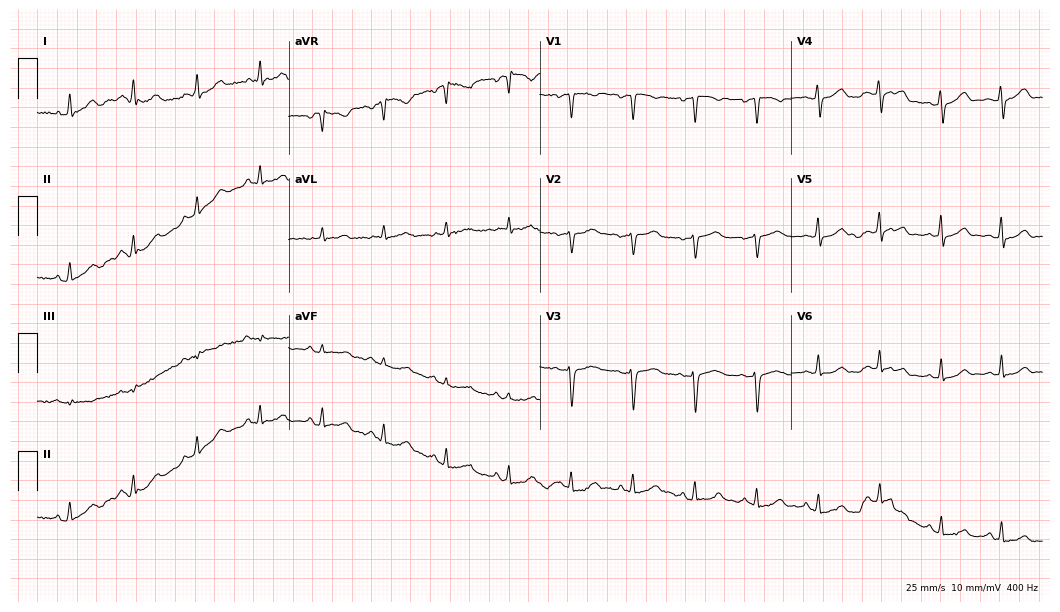
Resting 12-lead electrocardiogram. Patient: a 32-year-old woman. None of these six findings is recorded: first-degree AV block, right bundle branch block, left bundle branch block, sinus bradycardia, atrial fibrillation, sinus tachycardia. Only these six findings were labelled.